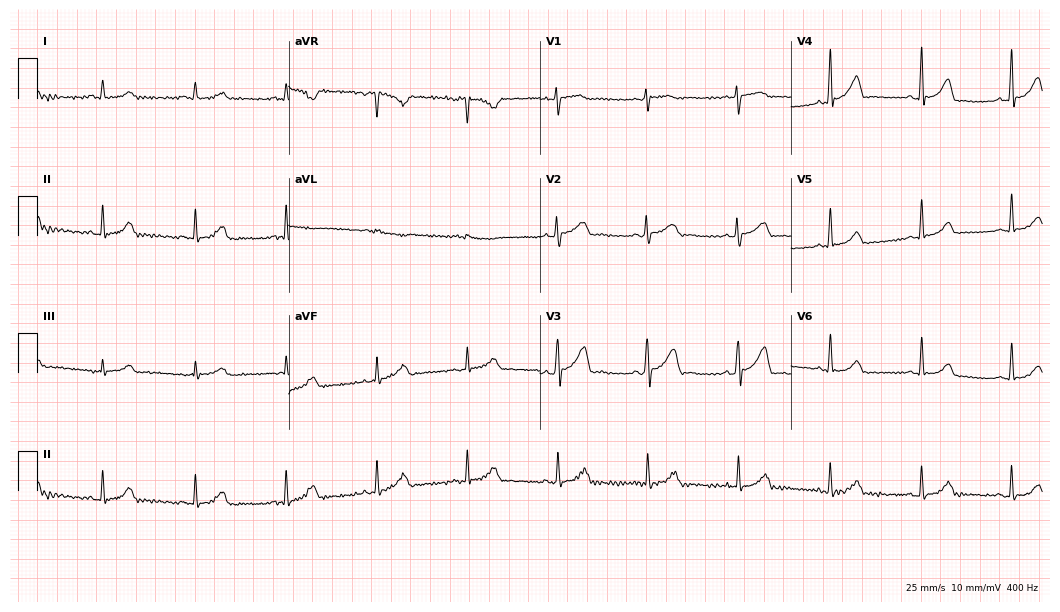
12-lead ECG from a man, 69 years old. No first-degree AV block, right bundle branch block, left bundle branch block, sinus bradycardia, atrial fibrillation or sinus tachycardia recorded for this tracing. Findings outside these six are not listed.